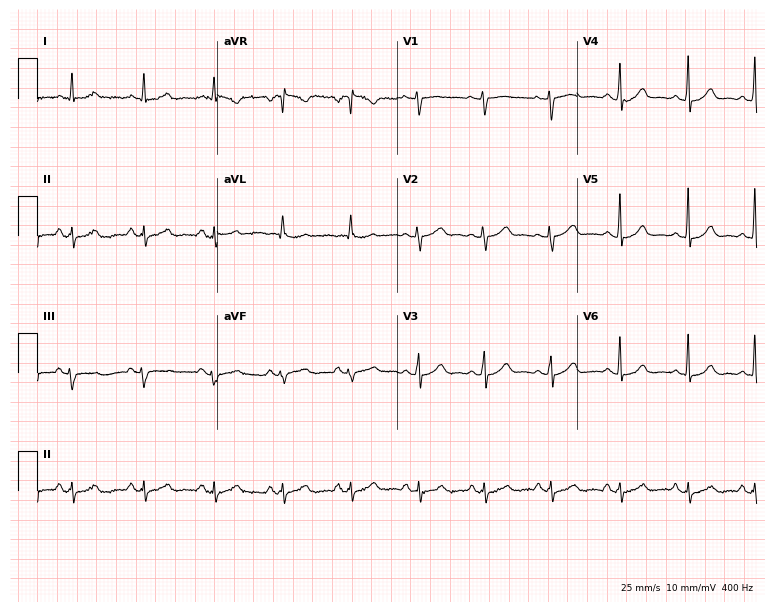
ECG — a female, 38 years old. Screened for six findings — first-degree AV block, right bundle branch block, left bundle branch block, sinus bradycardia, atrial fibrillation, sinus tachycardia — none is recorded. Only these six findings were labelled.